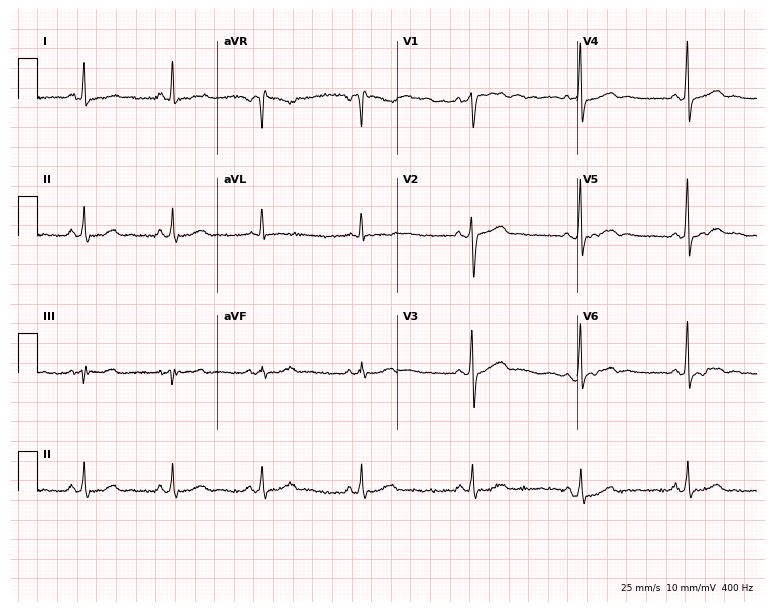
12-lead ECG (7.3-second recording at 400 Hz) from a female patient, 39 years old. Screened for six findings — first-degree AV block, right bundle branch block (RBBB), left bundle branch block (LBBB), sinus bradycardia, atrial fibrillation (AF), sinus tachycardia — none is recorded. Only these six findings were labelled.